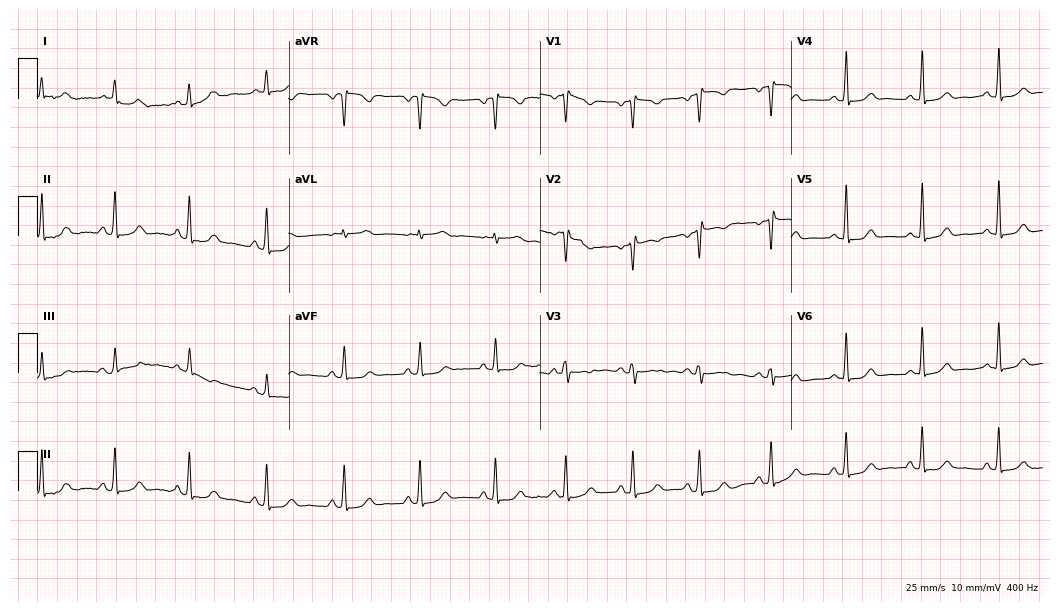
Standard 12-lead ECG recorded from a woman, 34 years old. None of these six findings is recorded: first-degree AV block, right bundle branch block (RBBB), left bundle branch block (LBBB), sinus bradycardia, atrial fibrillation (AF), sinus tachycardia.